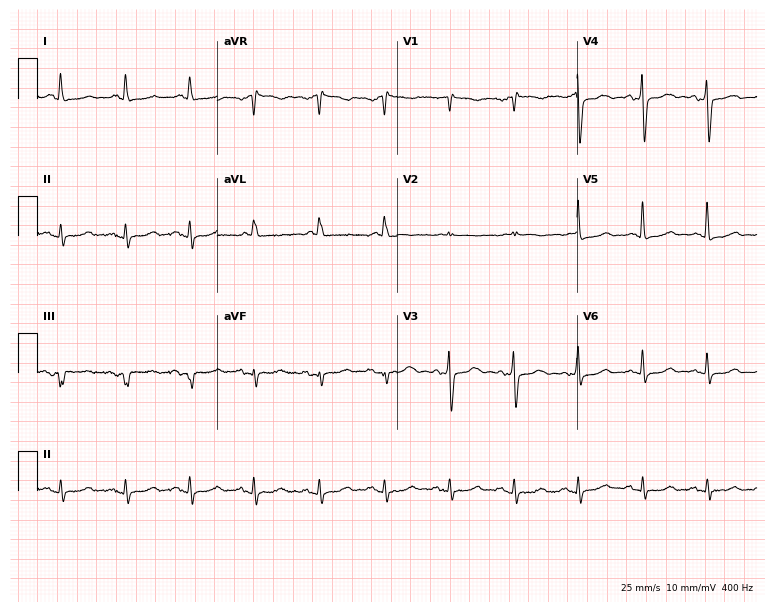
Electrocardiogram (7.3-second recording at 400 Hz), a female, 80 years old. Of the six screened findings (first-degree AV block, right bundle branch block (RBBB), left bundle branch block (LBBB), sinus bradycardia, atrial fibrillation (AF), sinus tachycardia), none is recorded.